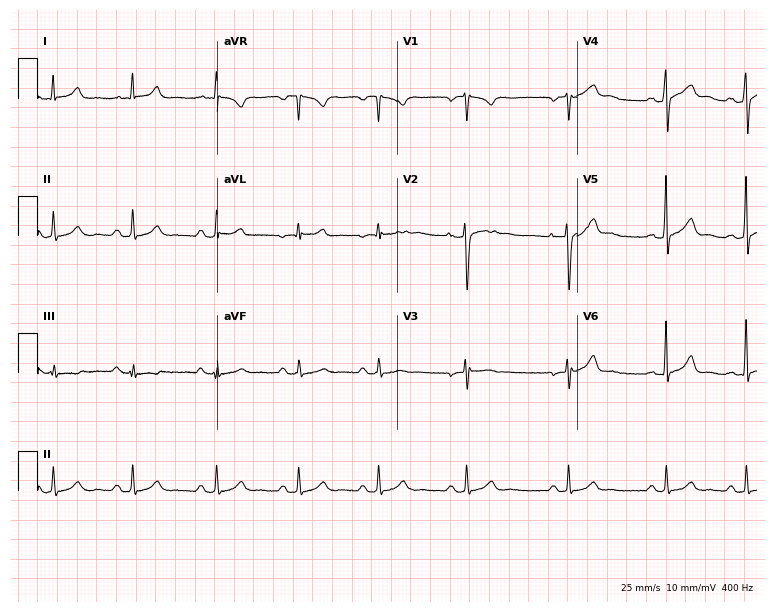
ECG — a male patient, 26 years old. Screened for six findings — first-degree AV block, right bundle branch block, left bundle branch block, sinus bradycardia, atrial fibrillation, sinus tachycardia — none is recorded.